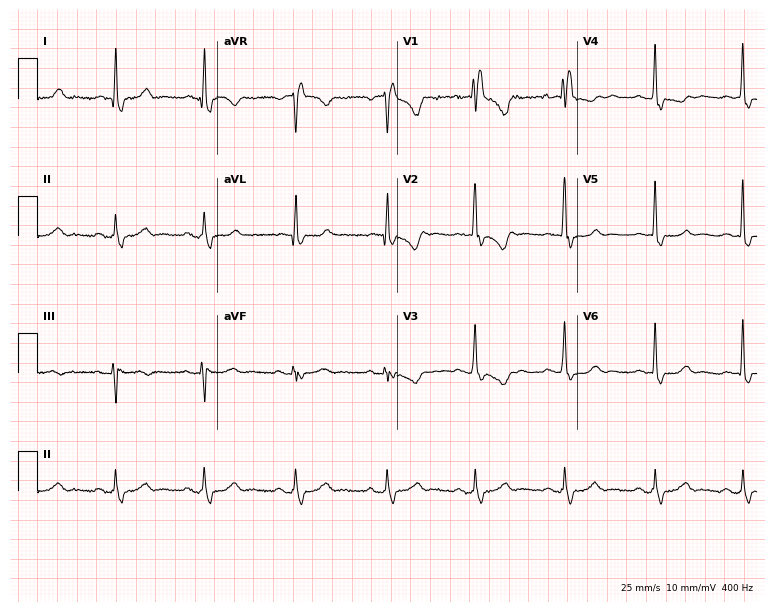
Standard 12-lead ECG recorded from a female patient, 64 years old. The tracing shows right bundle branch block (RBBB).